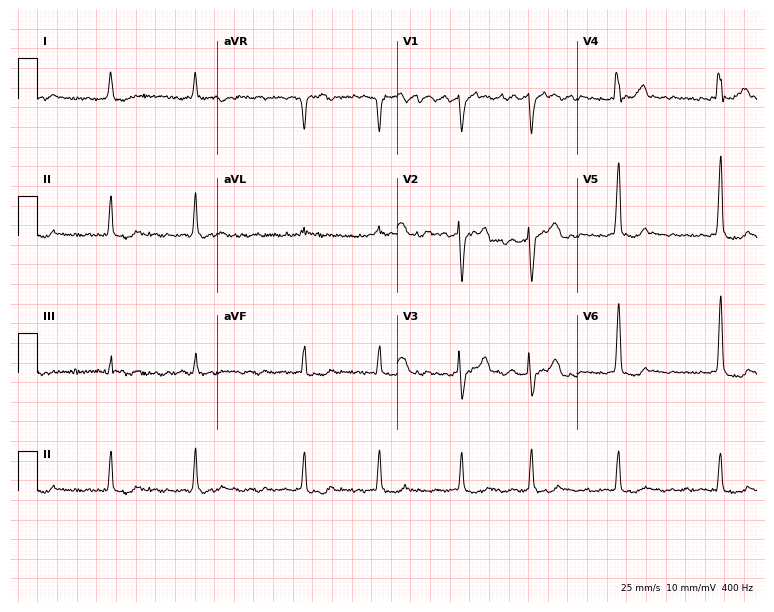
ECG (7.3-second recording at 400 Hz) — a 62-year-old female patient. Findings include atrial fibrillation.